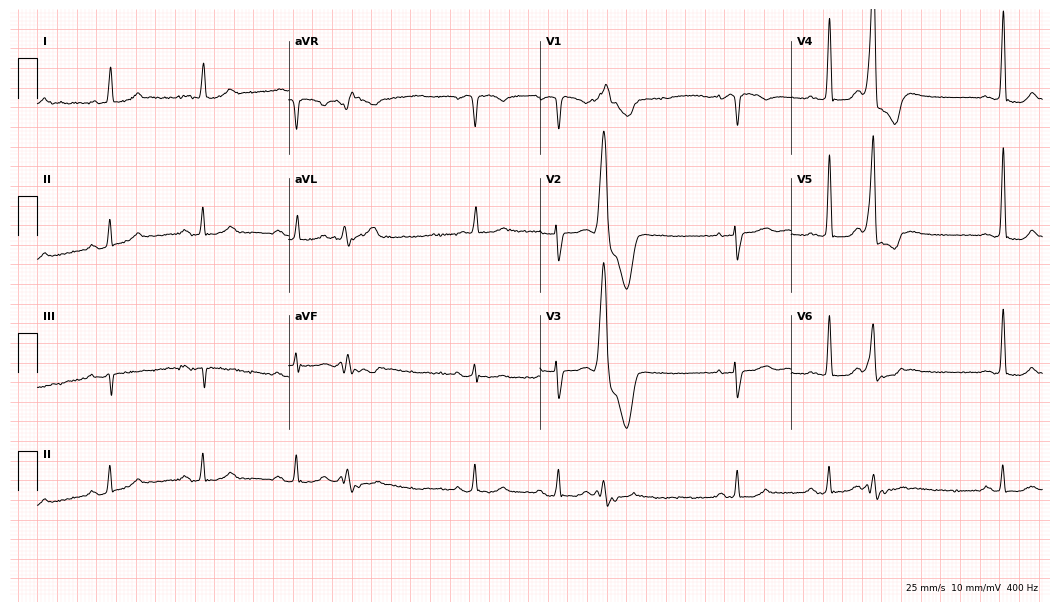
ECG — a 70-year-old woman. Screened for six findings — first-degree AV block, right bundle branch block (RBBB), left bundle branch block (LBBB), sinus bradycardia, atrial fibrillation (AF), sinus tachycardia — none is recorded.